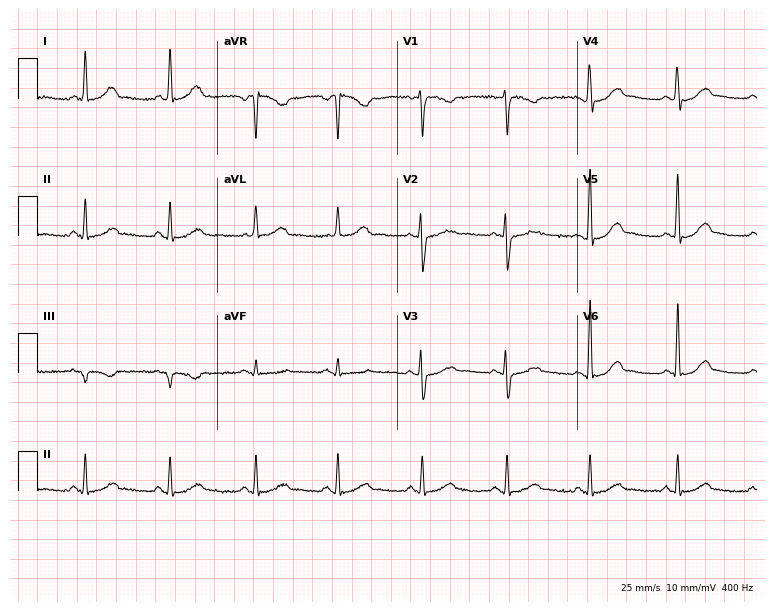
Resting 12-lead electrocardiogram (7.3-second recording at 400 Hz). Patient: a 51-year-old woman. Read as a normal ECG.